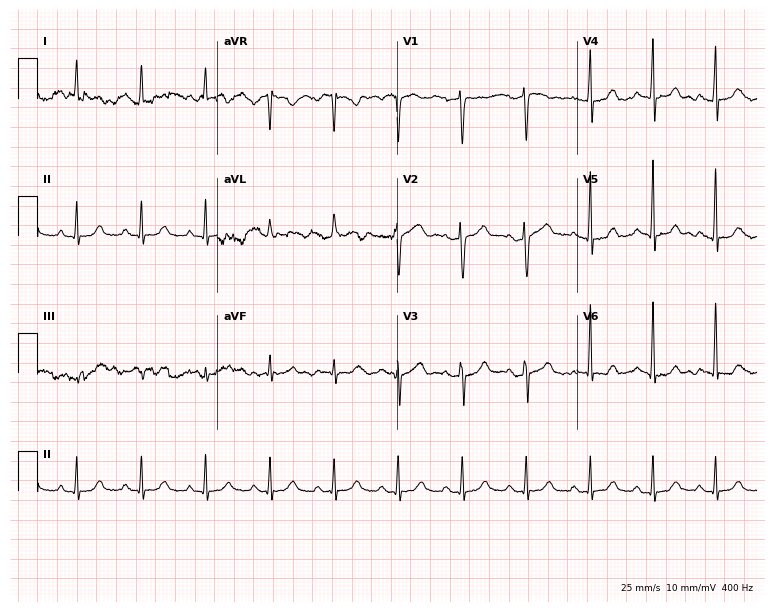
Resting 12-lead electrocardiogram. Patient: a woman, 58 years old. None of these six findings is recorded: first-degree AV block, right bundle branch block, left bundle branch block, sinus bradycardia, atrial fibrillation, sinus tachycardia.